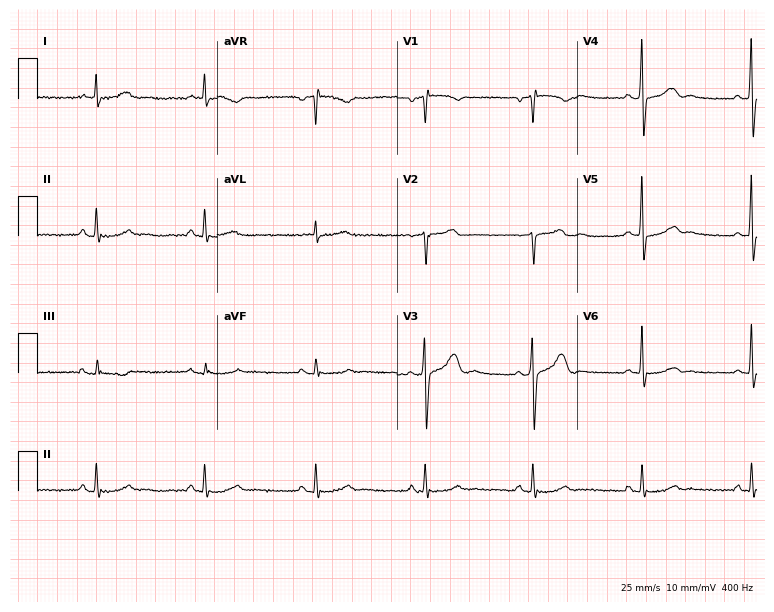
12-lead ECG (7.3-second recording at 400 Hz) from a man, 29 years old. Labelled as a normal ECG.